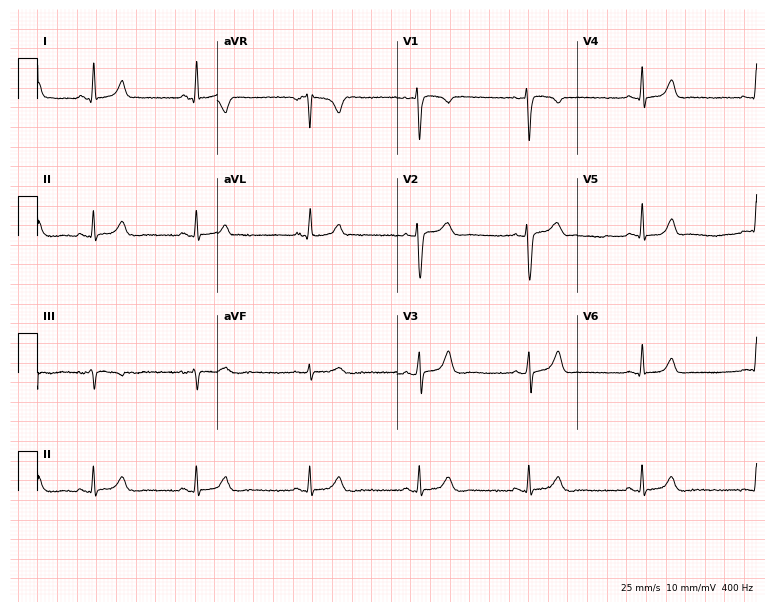
Electrocardiogram, a 32-year-old female. Overall reading on record: normal ECG.